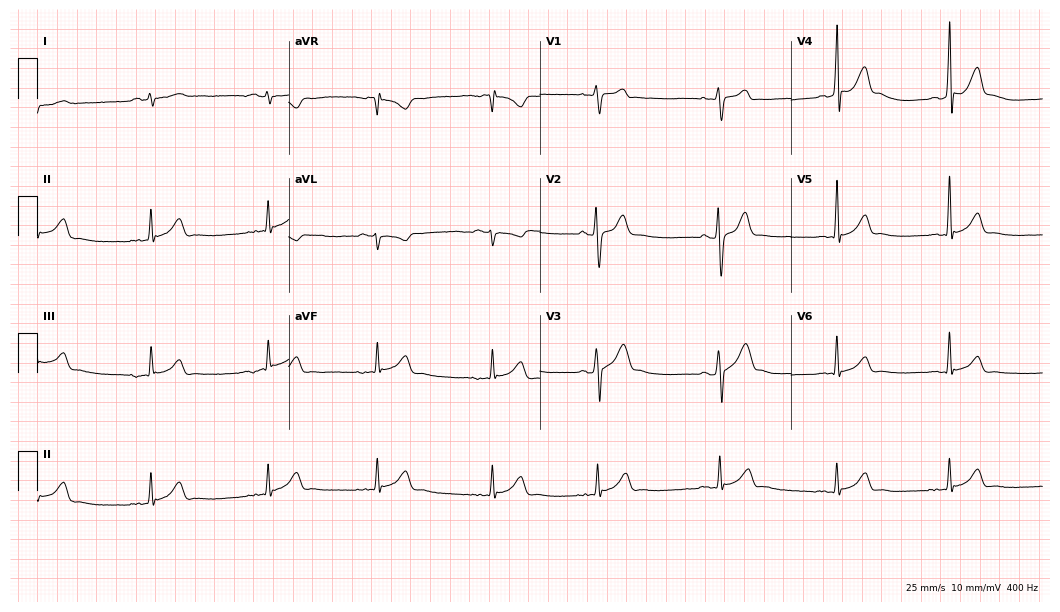
12-lead ECG from a 27-year-old female. Screened for six findings — first-degree AV block, right bundle branch block, left bundle branch block, sinus bradycardia, atrial fibrillation, sinus tachycardia — none is recorded. Other findings, if any, are not listed.